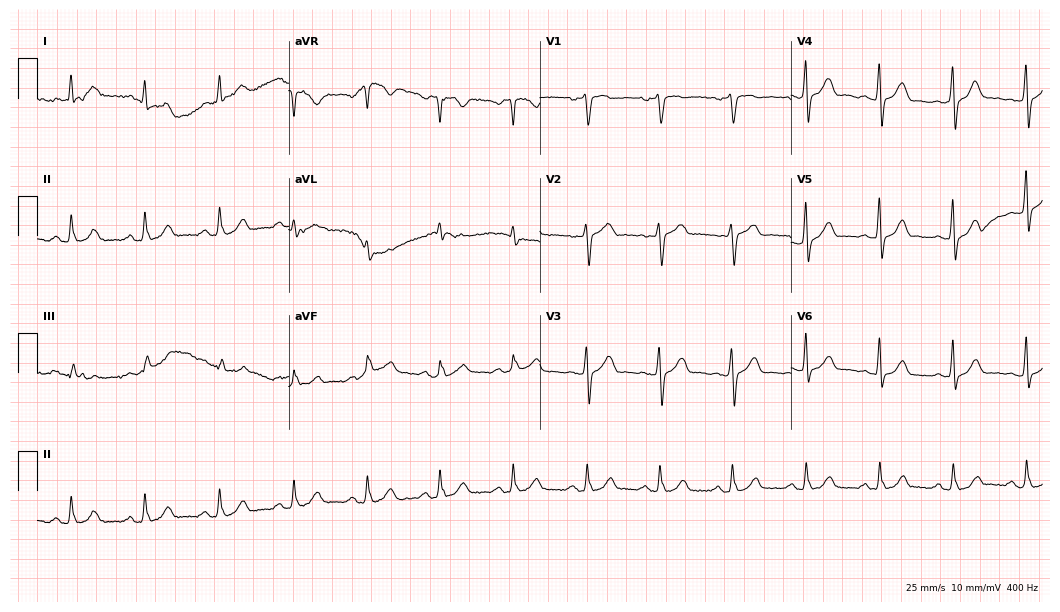
Electrocardiogram, a male, 58 years old. Overall reading on record: normal ECG.